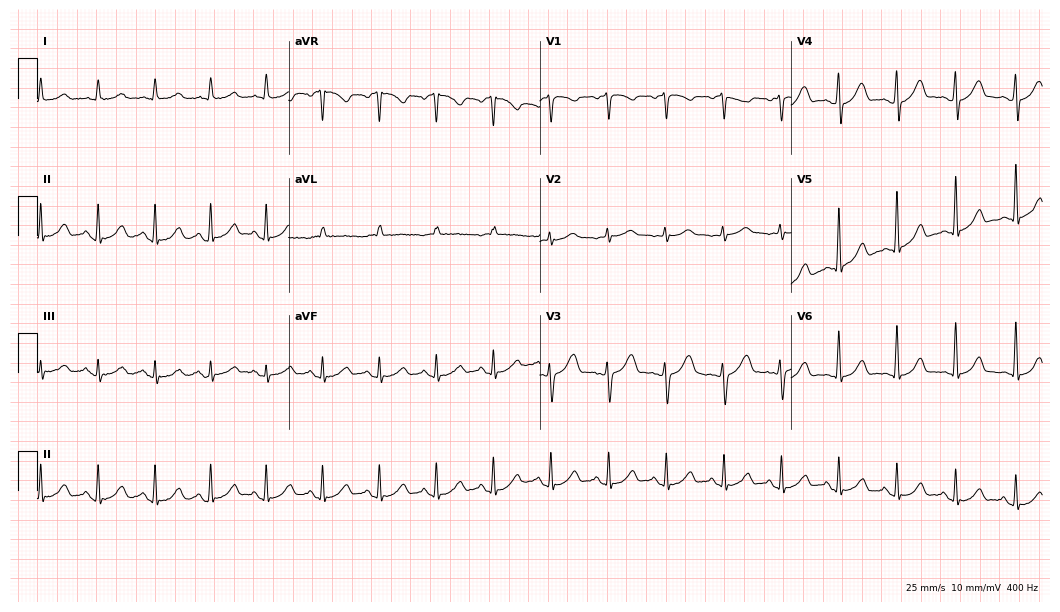
12-lead ECG from a female, 47 years old. Screened for six findings — first-degree AV block, right bundle branch block, left bundle branch block, sinus bradycardia, atrial fibrillation, sinus tachycardia — none is recorded.